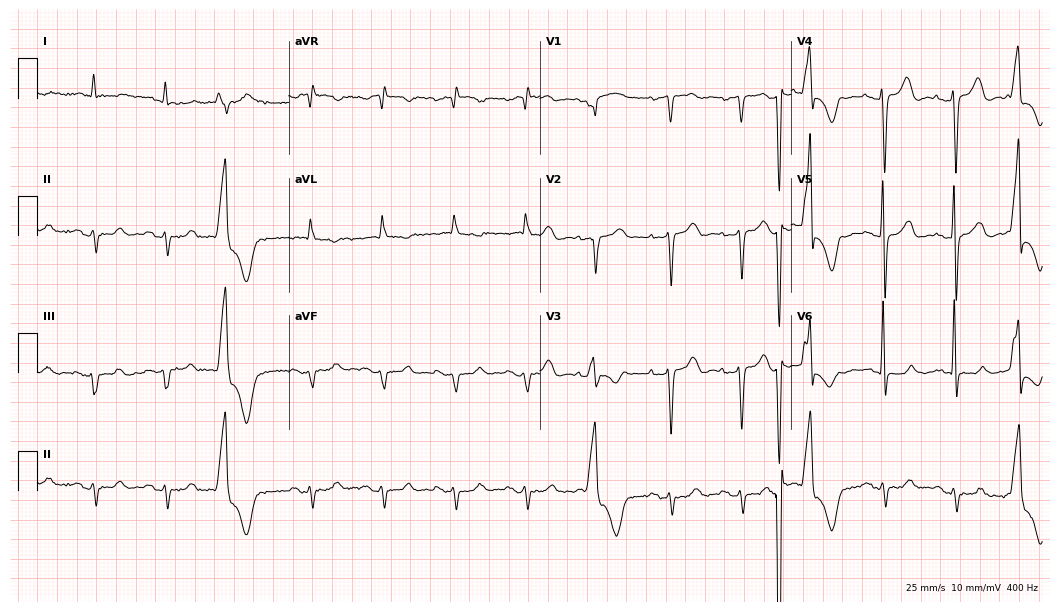
Electrocardiogram, a male patient, 84 years old. Of the six screened findings (first-degree AV block, right bundle branch block (RBBB), left bundle branch block (LBBB), sinus bradycardia, atrial fibrillation (AF), sinus tachycardia), none is recorded. Other findings, if any, are not listed.